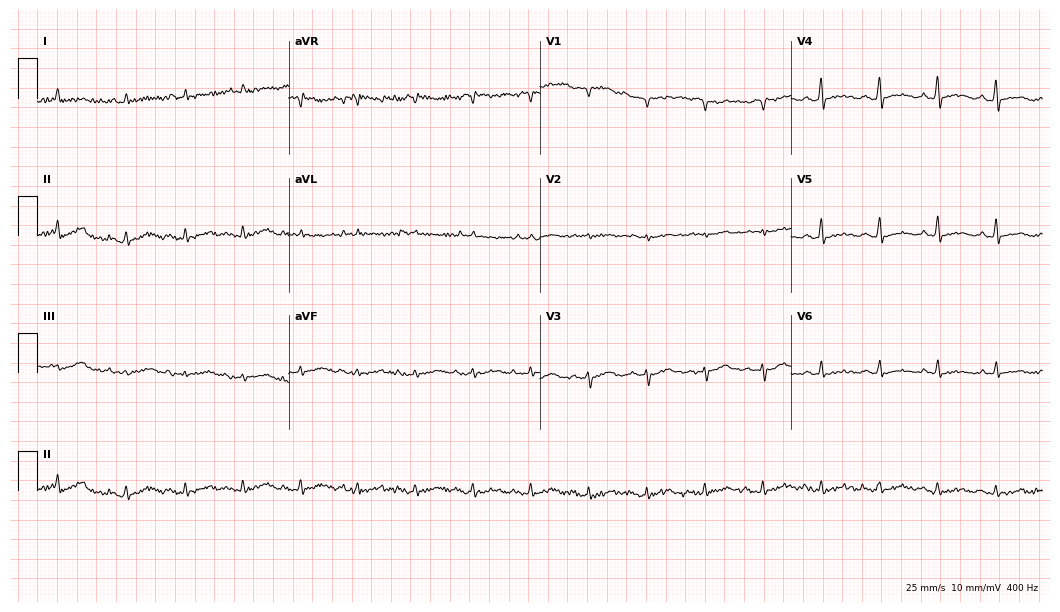
12-lead ECG (10.2-second recording at 400 Hz) from a 67-year-old male. Screened for six findings — first-degree AV block, right bundle branch block, left bundle branch block, sinus bradycardia, atrial fibrillation, sinus tachycardia — none is recorded. Other findings, if any, are not listed.